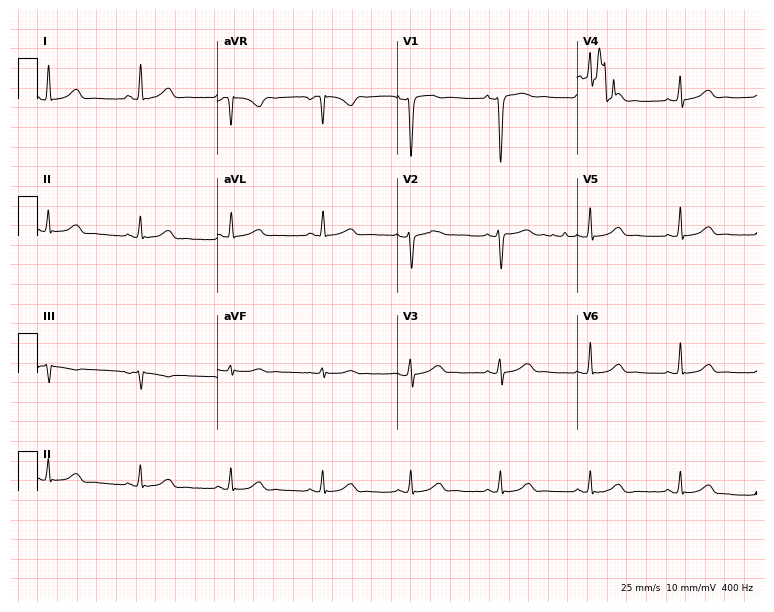
ECG — a 29-year-old female patient. Screened for six findings — first-degree AV block, right bundle branch block, left bundle branch block, sinus bradycardia, atrial fibrillation, sinus tachycardia — none is recorded.